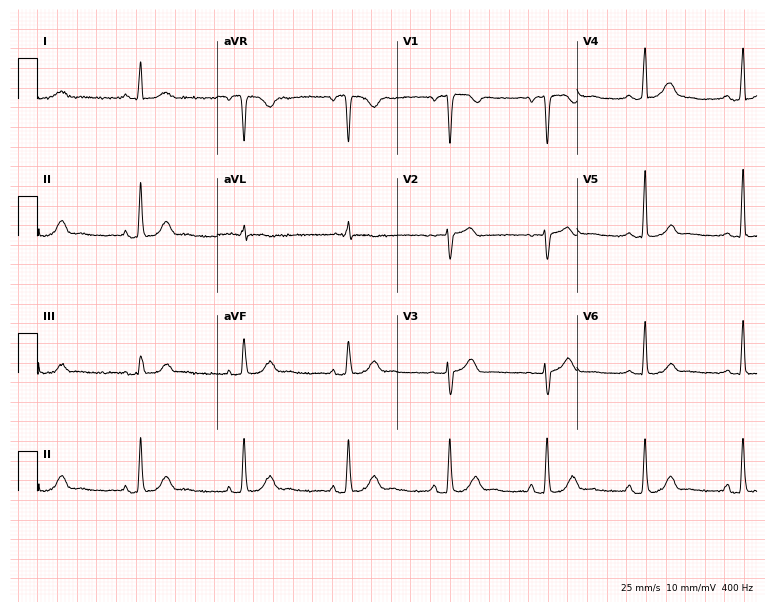
Resting 12-lead electrocardiogram (7.3-second recording at 400 Hz). Patient: a female, 49 years old. Read as a normal ECG.